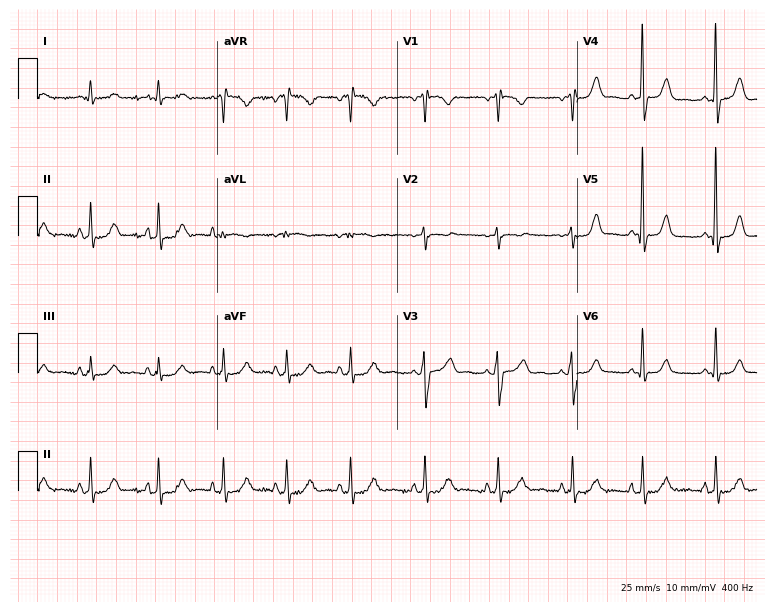
ECG (7.3-second recording at 400 Hz) — a 50-year-old female. Labelled as a normal ECG.